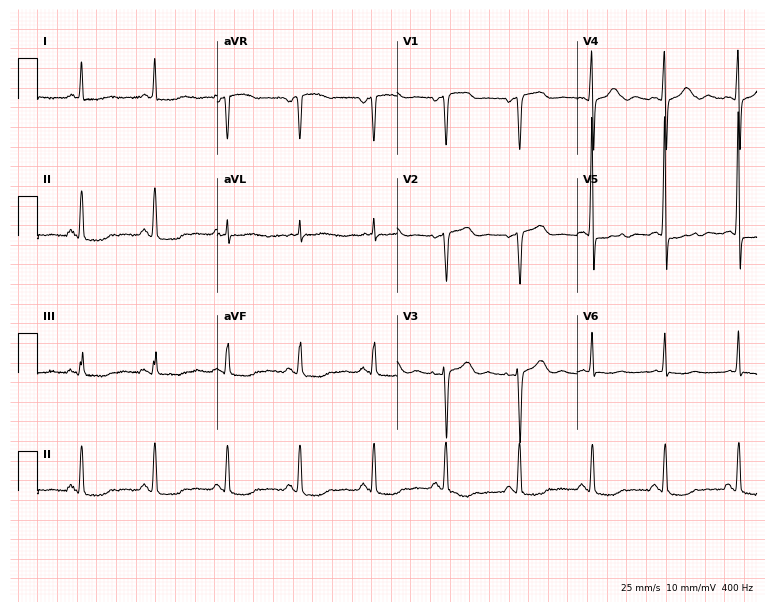
12-lead ECG from an 82-year-old woman. No first-degree AV block, right bundle branch block (RBBB), left bundle branch block (LBBB), sinus bradycardia, atrial fibrillation (AF) or sinus tachycardia recorded for this tracing. Other findings, if any, are not listed.